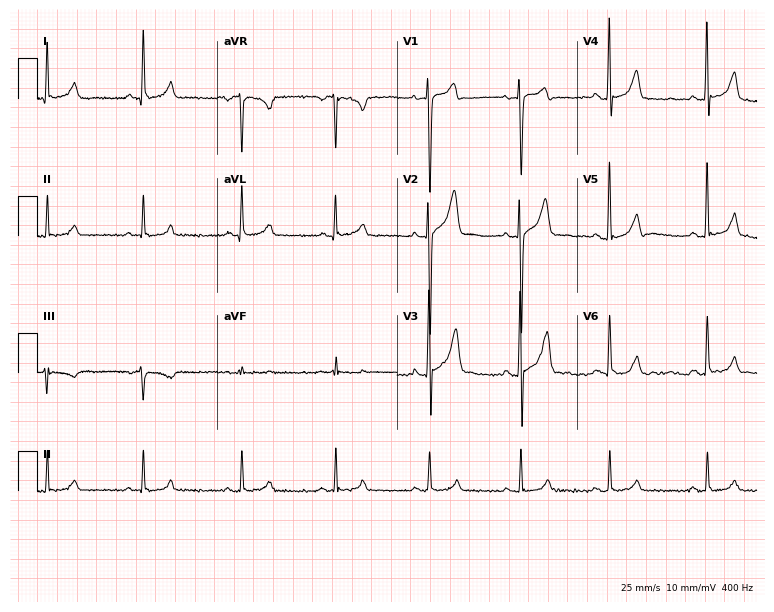
ECG (7.3-second recording at 400 Hz) — a man, 42 years old. Labelled as a normal ECG.